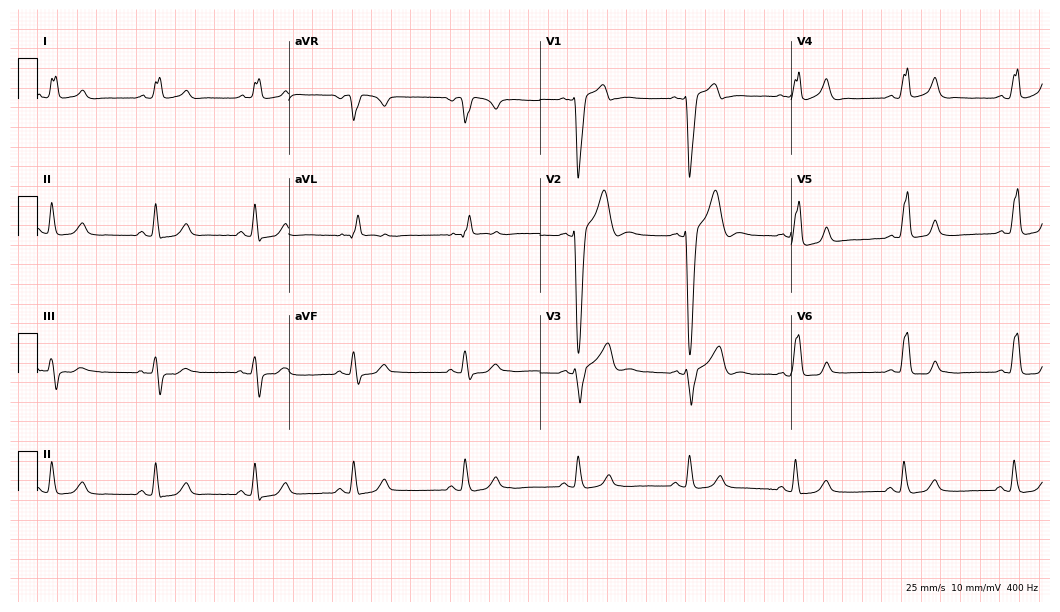
12-lead ECG from a 32-year-old male. Screened for six findings — first-degree AV block, right bundle branch block (RBBB), left bundle branch block (LBBB), sinus bradycardia, atrial fibrillation (AF), sinus tachycardia — none is recorded.